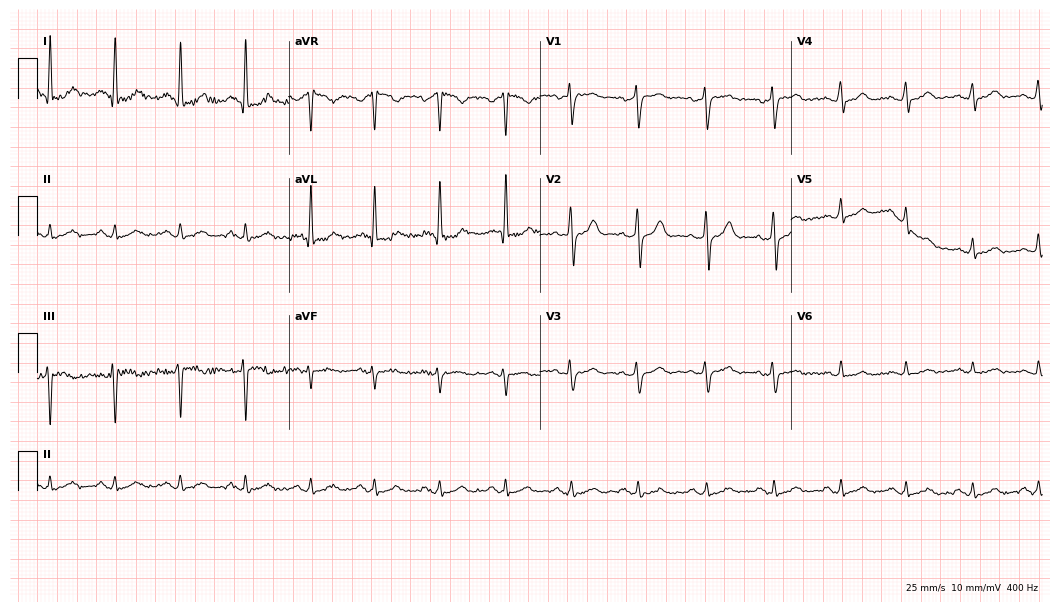
Electrocardiogram, a female patient, 63 years old. Overall reading on record: normal ECG.